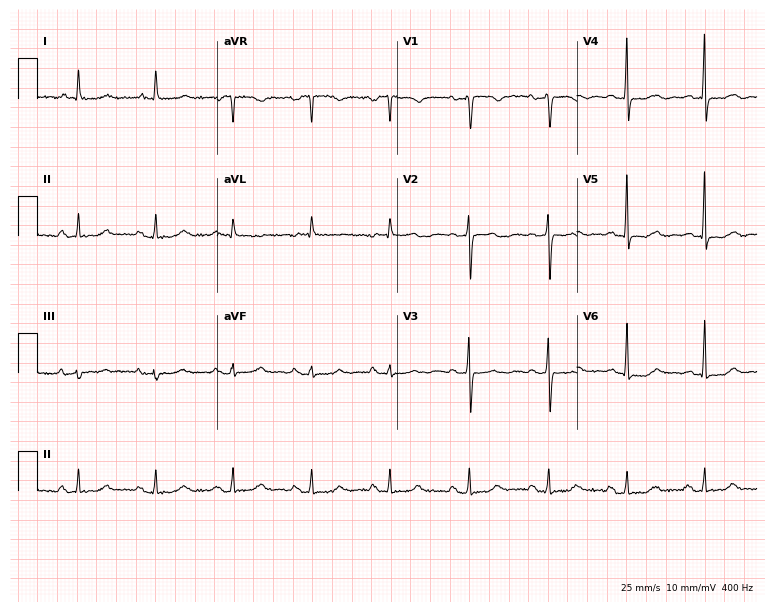
Resting 12-lead electrocardiogram (7.3-second recording at 400 Hz). Patient: a woman, 78 years old. None of these six findings is recorded: first-degree AV block, right bundle branch block, left bundle branch block, sinus bradycardia, atrial fibrillation, sinus tachycardia.